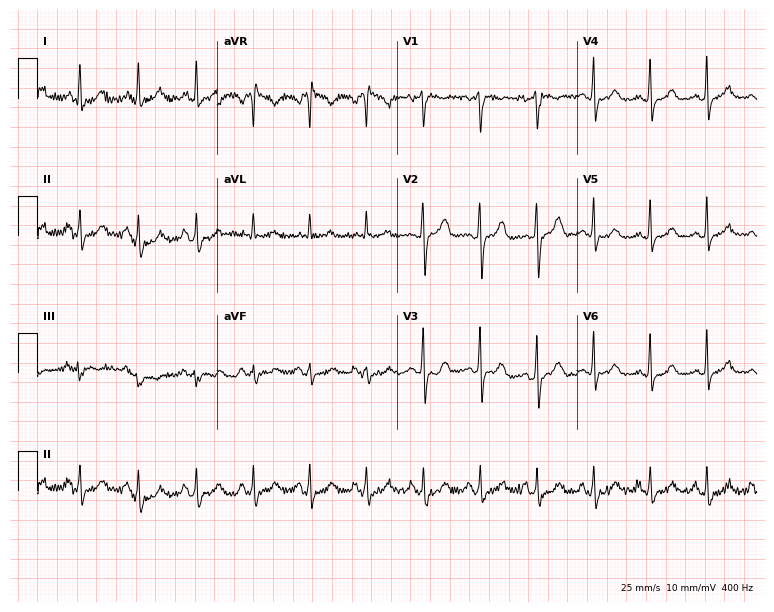
Standard 12-lead ECG recorded from a 46-year-old female patient (7.3-second recording at 400 Hz). The tracing shows sinus tachycardia (a sinus rate of 100 beats per minute or more).